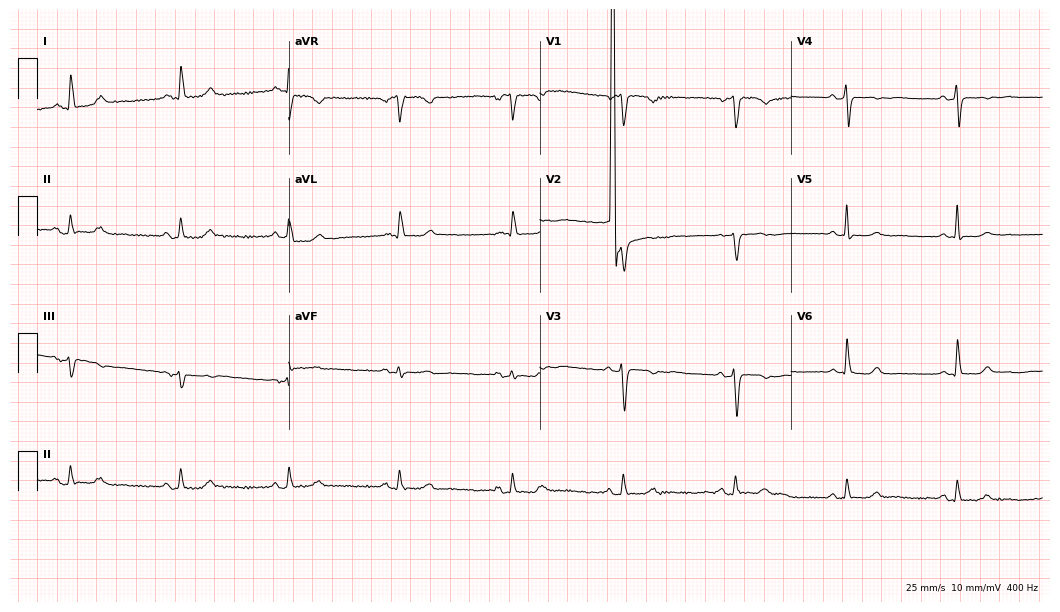
Standard 12-lead ECG recorded from a 69-year-old female (10.2-second recording at 400 Hz). None of these six findings is recorded: first-degree AV block, right bundle branch block (RBBB), left bundle branch block (LBBB), sinus bradycardia, atrial fibrillation (AF), sinus tachycardia. Findings outside these six are not listed.